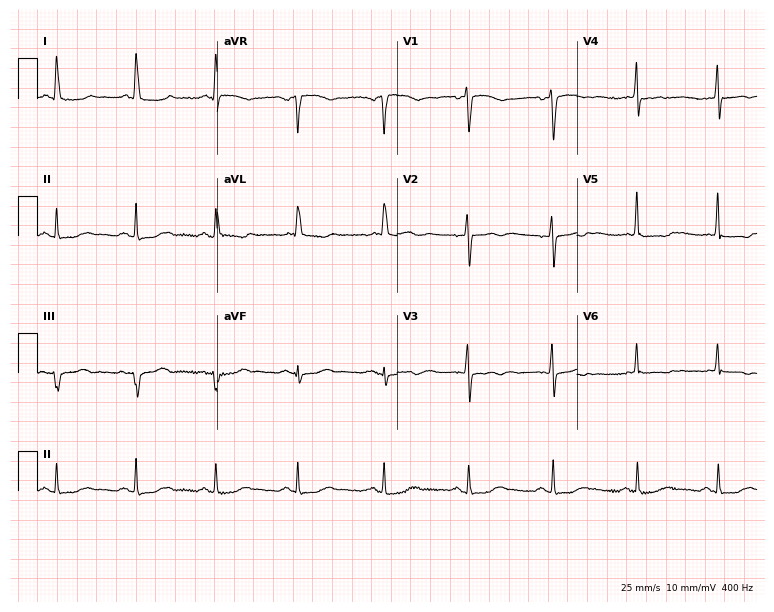
ECG (7.3-second recording at 400 Hz) — a female, 87 years old. Screened for six findings — first-degree AV block, right bundle branch block, left bundle branch block, sinus bradycardia, atrial fibrillation, sinus tachycardia — none is recorded. Only these six findings were labelled.